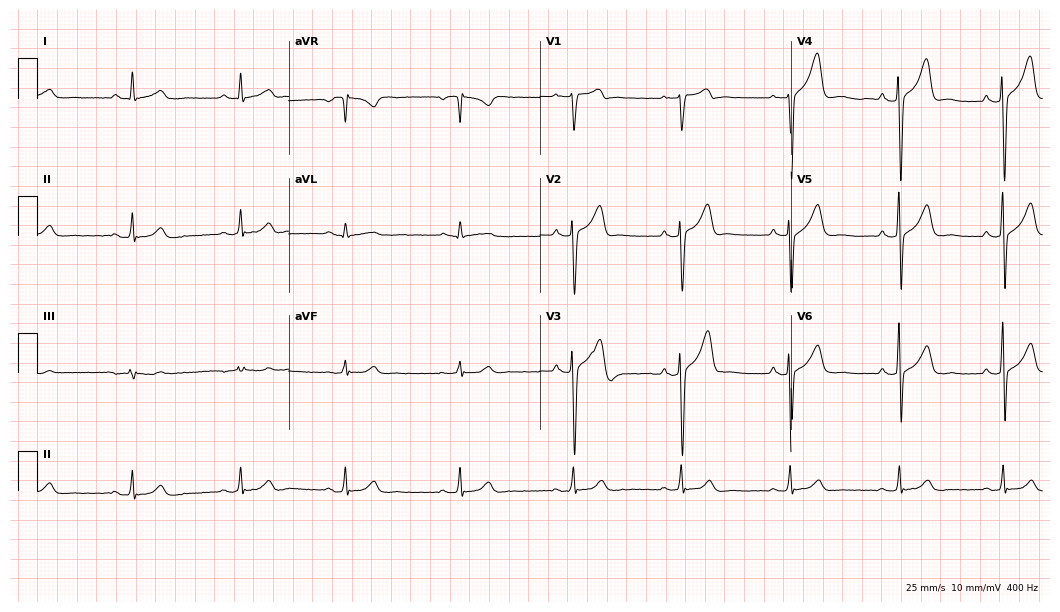
Resting 12-lead electrocardiogram (10.2-second recording at 400 Hz). Patient: a male, 71 years old. Read as a normal ECG.